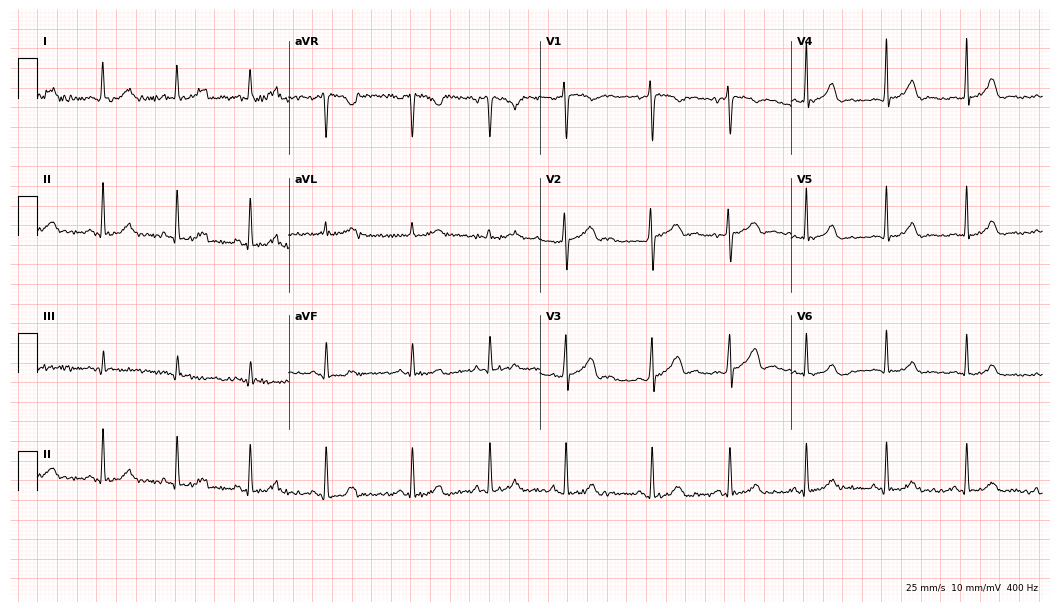
12-lead ECG from a female, 33 years old (10.2-second recording at 400 Hz). Recorded interpretation: within normal limits.